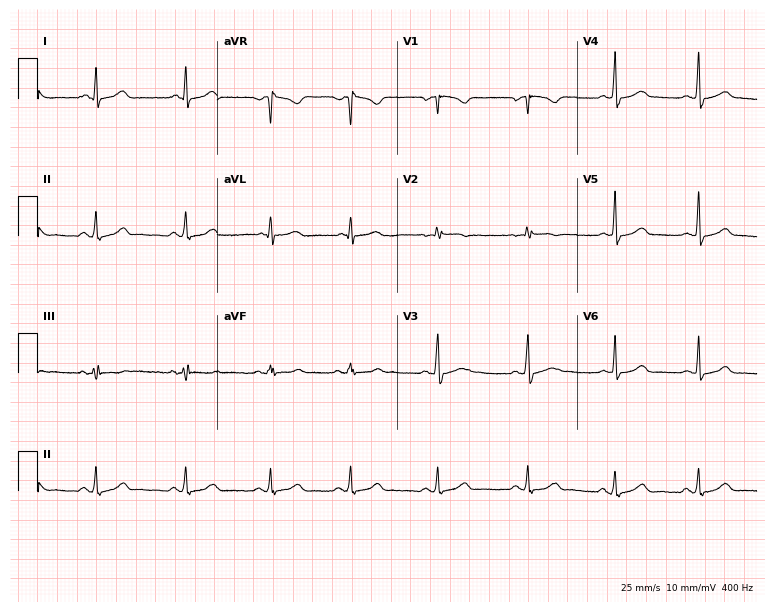
Resting 12-lead electrocardiogram. Patient: a 26-year-old female. None of these six findings is recorded: first-degree AV block, right bundle branch block, left bundle branch block, sinus bradycardia, atrial fibrillation, sinus tachycardia. Other findings, if any, are not listed.